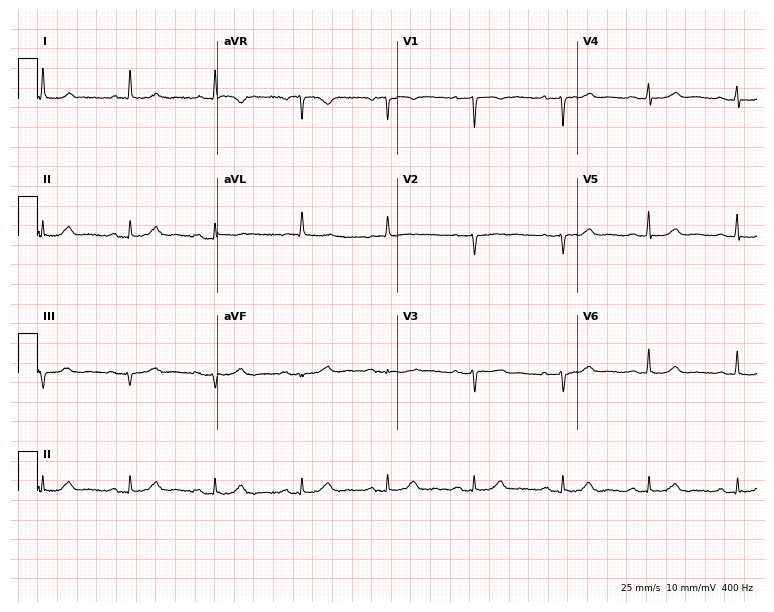
Electrocardiogram (7.3-second recording at 400 Hz), a 67-year-old female. Of the six screened findings (first-degree AV block, right bundle branch block (RBBB), left bundle branch block (LBBB), sinus bradycardia, atrial fibrillation (AF), sinus tachycardia), none is recorded. Findings outside these six are not listed.